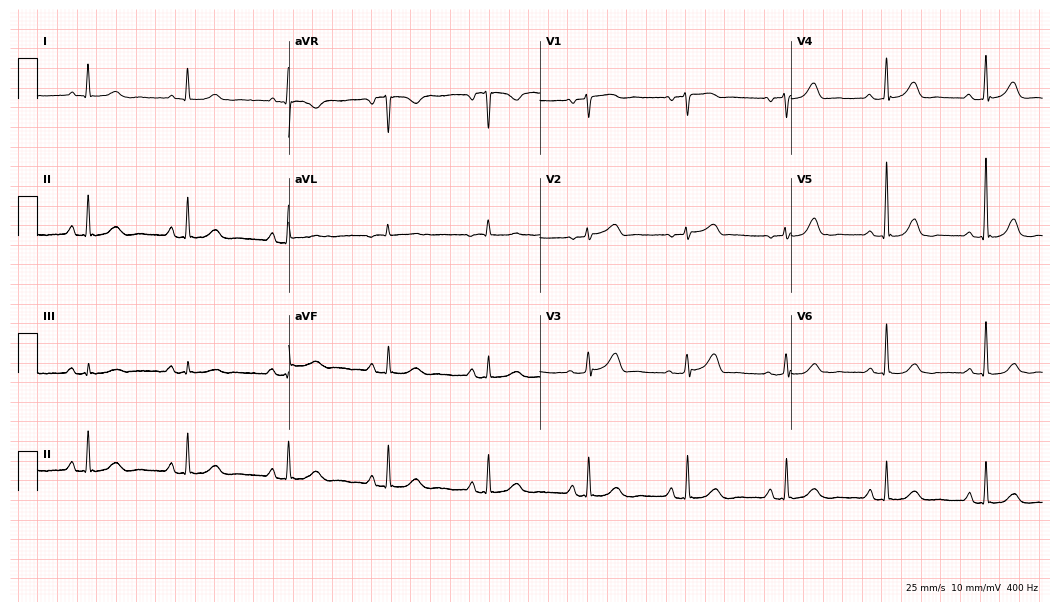
12-lead ECG from a female patient, 80 years old (10.2-second recording at 400 Hz). Recorded interpretation: within normal limits.